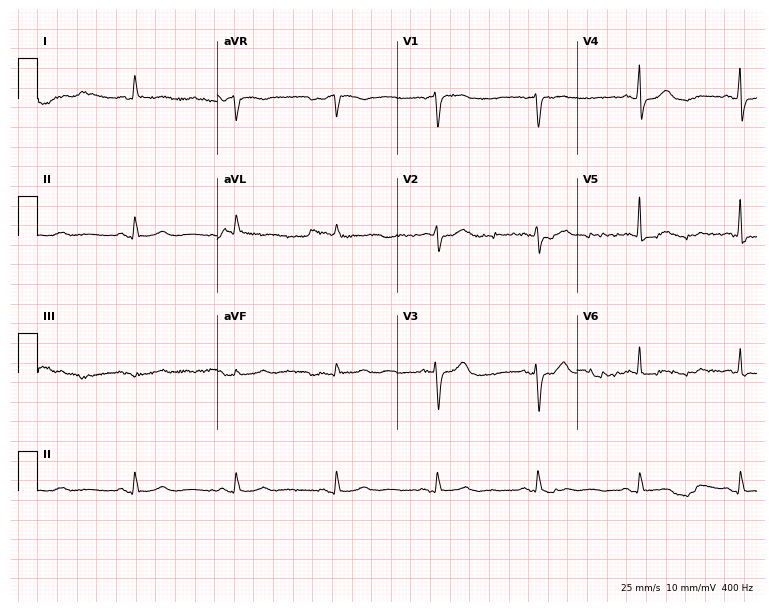
Electrocardiogram (7.3-second recording at 400 Hz), a woman, 79 years old. Of the six screened findings (first-degree AV block, right bundle branch block, left bundle branch block, sinus bradycardia, atrial fibrillation, sinus tachycardia), none is recorded.